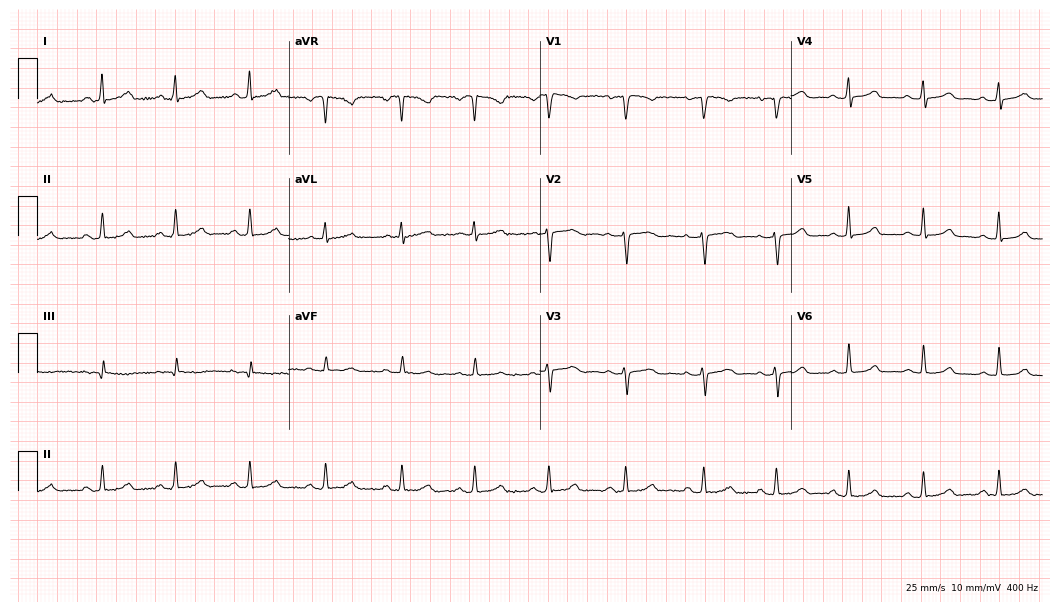
12-lead ECG from a female, 42 years old. No first-degree AV block, right bundle branch block (RBBB), left bundle branch block (LBBB), sinus bradycardia, atrial fibrillation (AF) or sinus tachycardia recorded for this tracing.